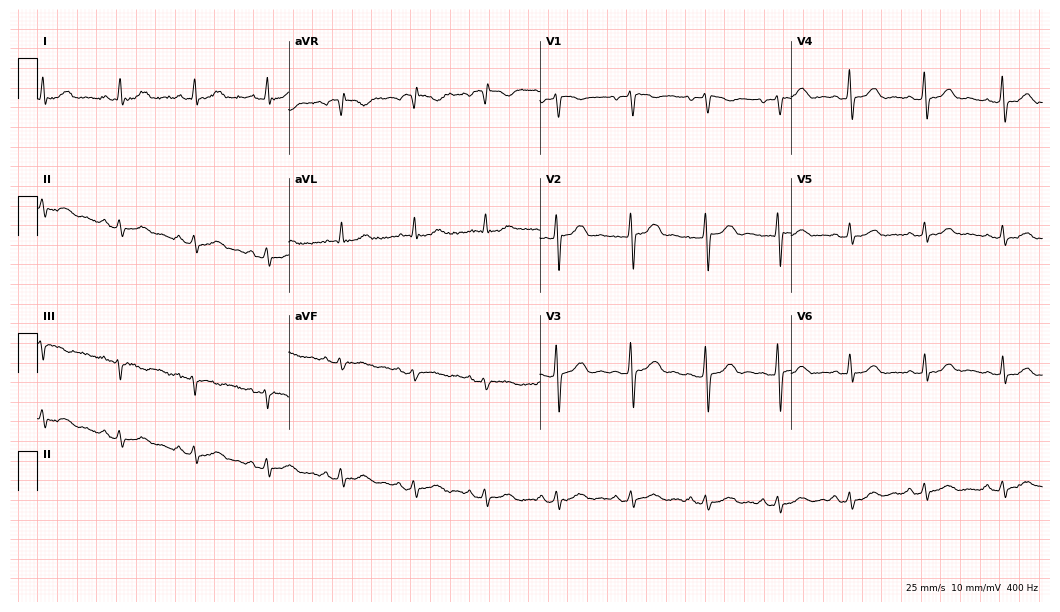
Electrocardiogram (10.2-second recording at 400 Hz), a 53-year-old female. Of the six screened findings (first-degree AV block, right bundle branch block, left bundle branch block, sinus bradycardia, atrial fibrillation, sinus tachycardia), none is recorded. Only these six findings were labelled.